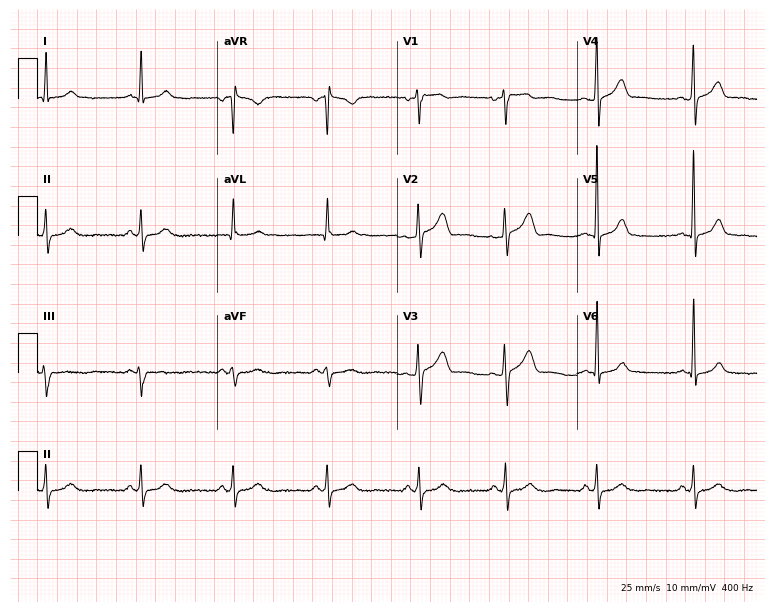
Standard 12-lead ECG recorded from a 41-year-old woman. Read as a normal ECG.